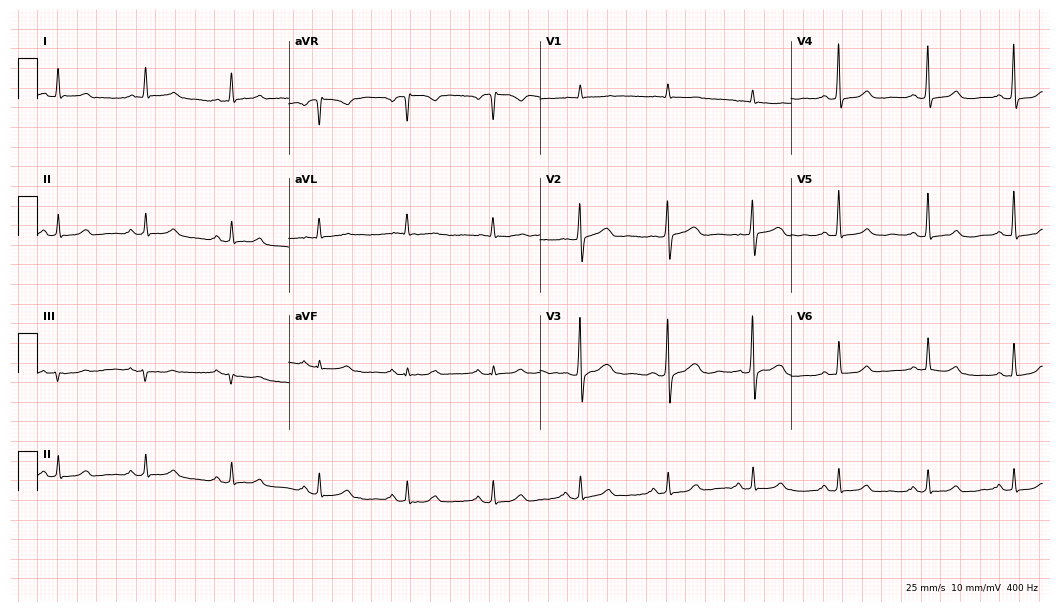
12-lead ECG (10.2-second recording at 400 Hz) from a female, 58 years old. Labelled as a normal ECG.